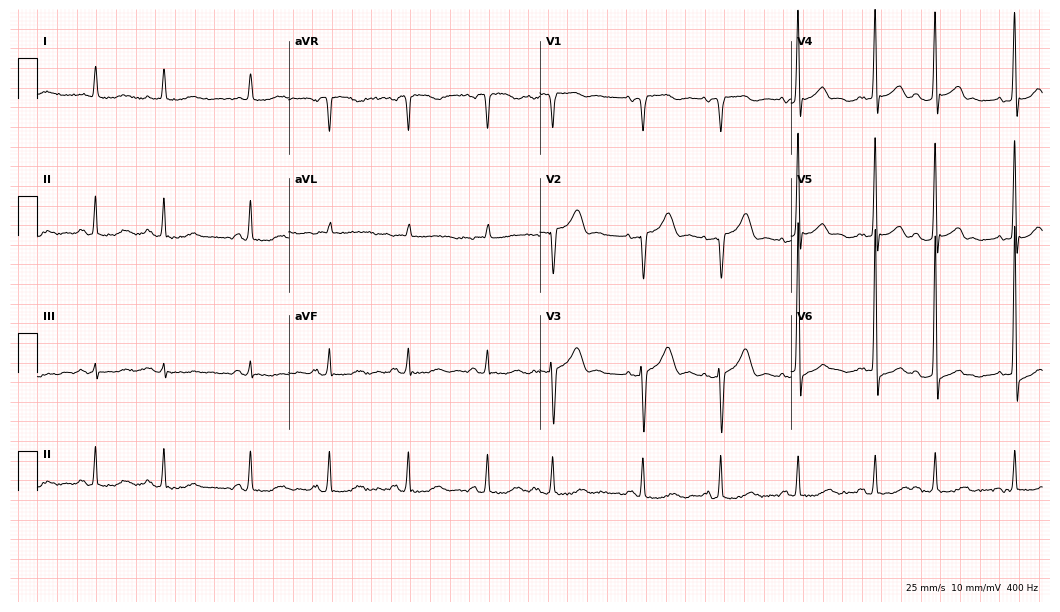
Electrocardiogram (10.2-second recording at 400 Hz), an 83-year-old male patient. Of the six screened findings (first-degree AV block, right bundle branch block, left bundle branch block, sinus bradycardia, atrial fibrillation, sinus tachycardia), none is recorded.